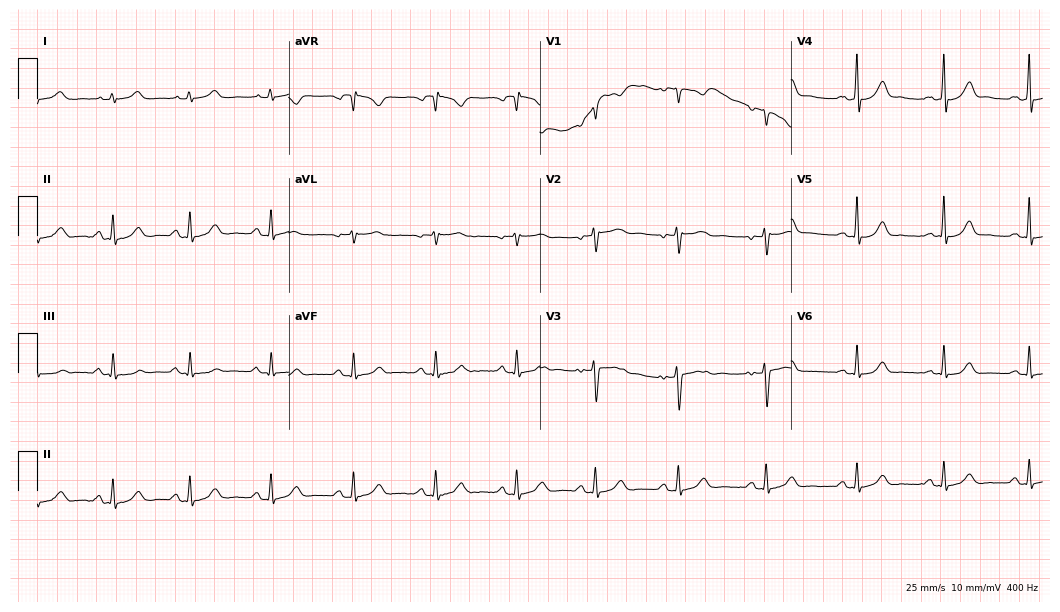
Standard 12-lead ECG recorded from a 30-year-old woman. Read as a normal ECG.